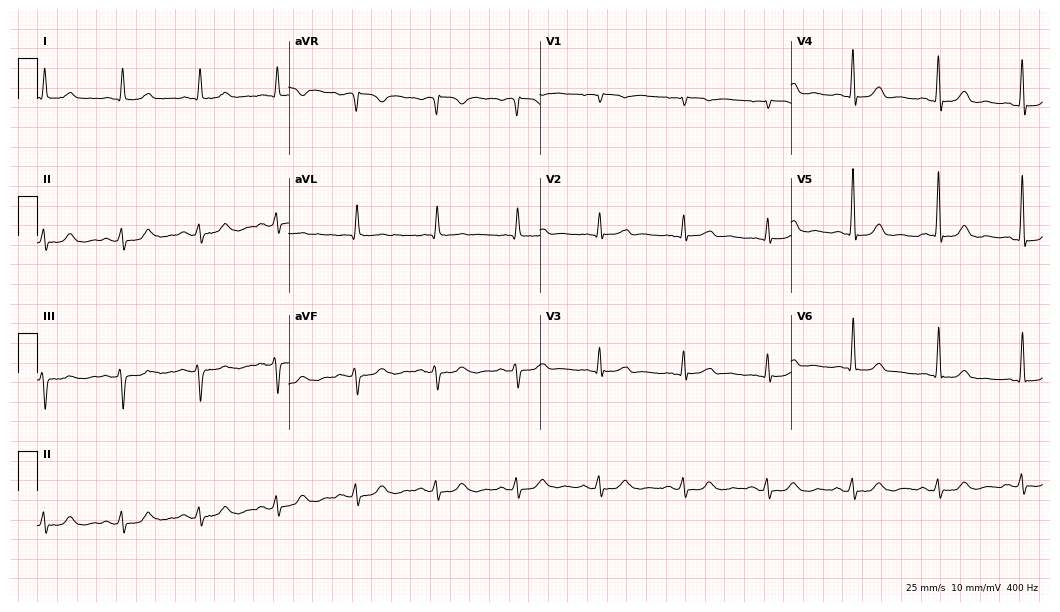
Standard 12-lead ECG recorded from an 81-year-old male patient. None of these six findings is recorded: first-degree AV block, right bundle branch block, left bundle branch block, sinus bradycardia, atrial fibrillation, sinus tachycardia. Findings outside these six are not listed.